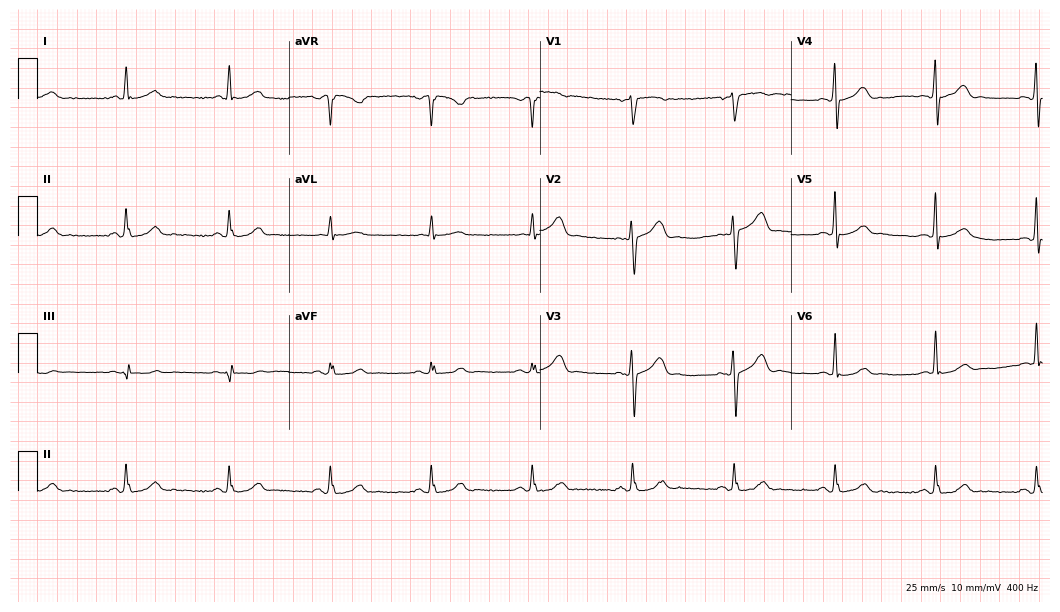
Resting 12-lead electrocardiogram (10.2-second recording at 400 Hz). Patient: a male, 62 years old. None of these six findings is recorded: first-degree AV block, right bundle branch block, left bundle branch block, sinus bradycardia, atrial fibrillation, sinus tachycardia.